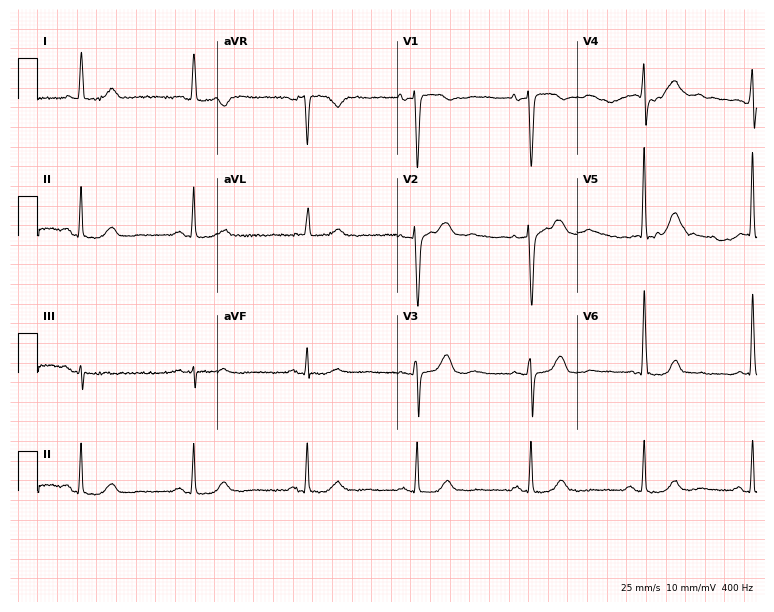
12-lead ECG (7.3-second recording at 400 Hz) from an 80-year-old female. Screened for six findings — first-degree AV block, right bundle branch block, left bundle branch block, sinus bradycardia, atrial fibrillation, sinus tachycardia — none is recorded.